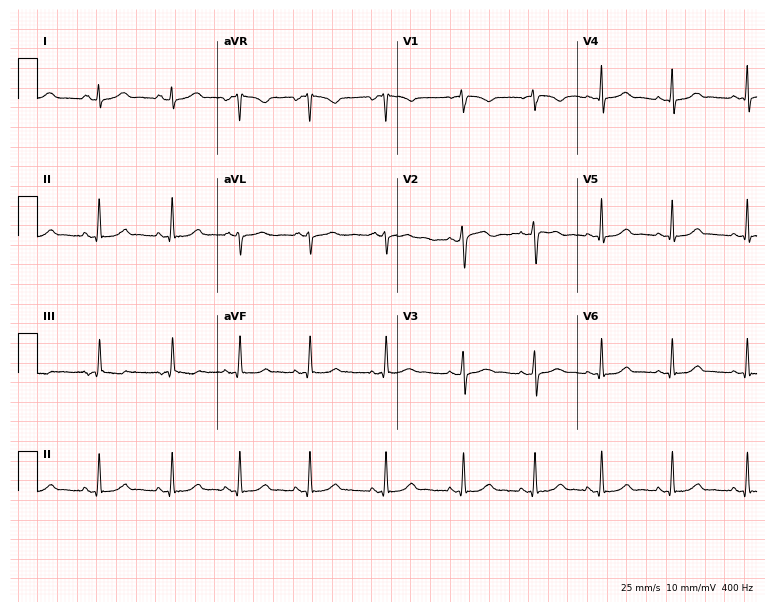
Standard 12-lead ECG recorded from a 20-year-old female. Read as a normal ECG.